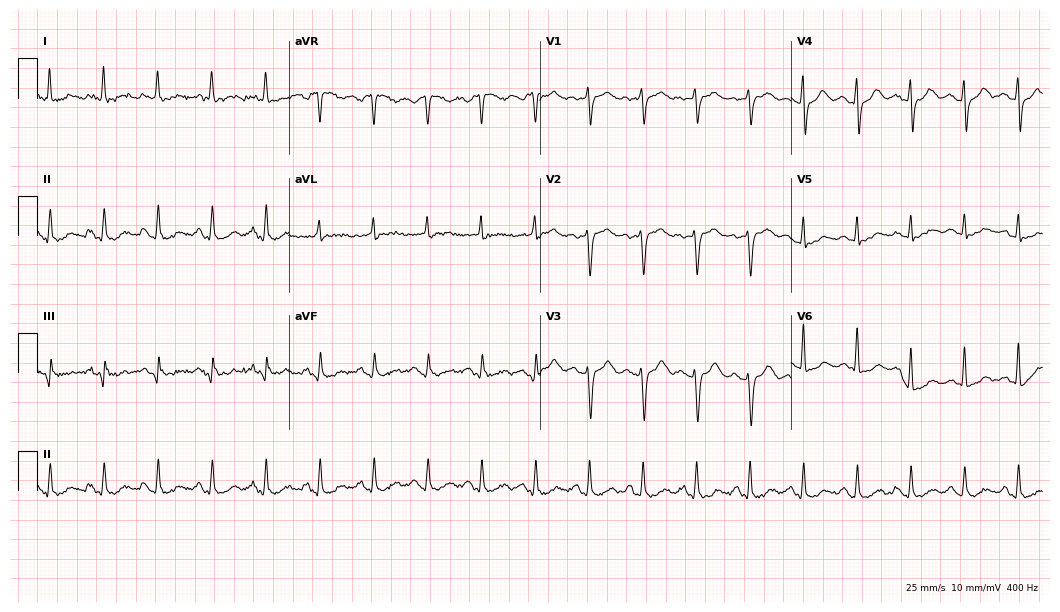
Standard 12-lead ECG recorded from a 69-year-old woman. The tracing shows sinus tachycardia (a sinus rate of 100 beats per minute or more).